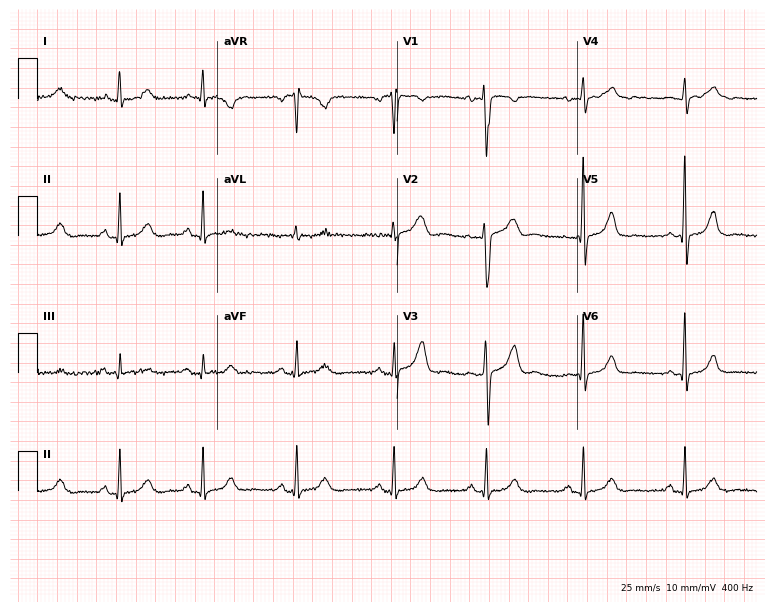
12-lead ECG from a woman, 37 years old. Recorded interpretation: within normal limits.